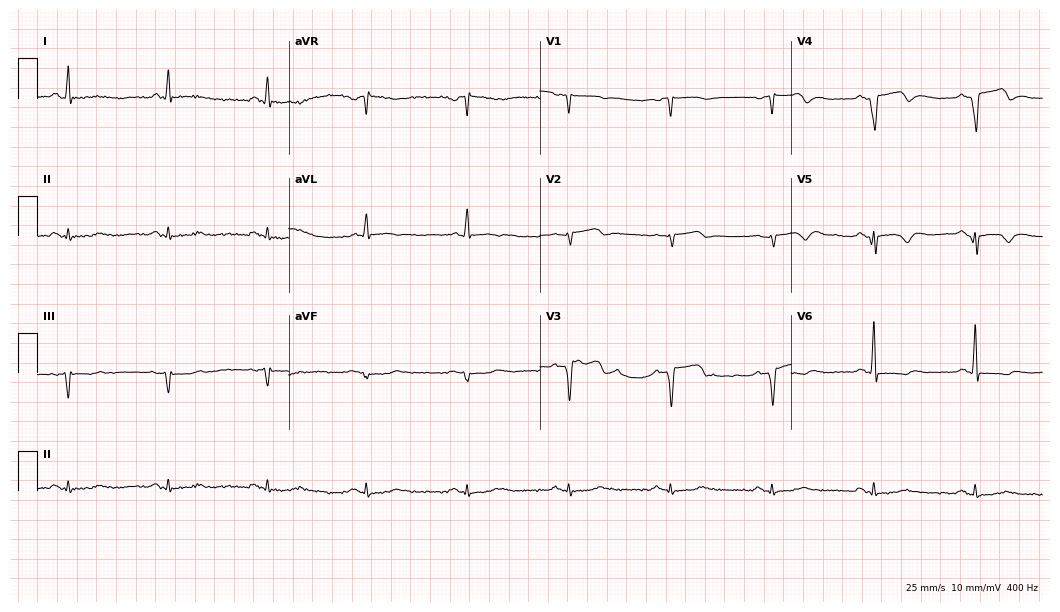
12-lead ECG from a male, 72 years old. Screened for six findings — first-degree AV block, right bundle branch block (RBBB), left bundle branch block (LBBB), sinus bradycardia, atrial fibrillation (AF), sinus tachycardia — none is recorded.